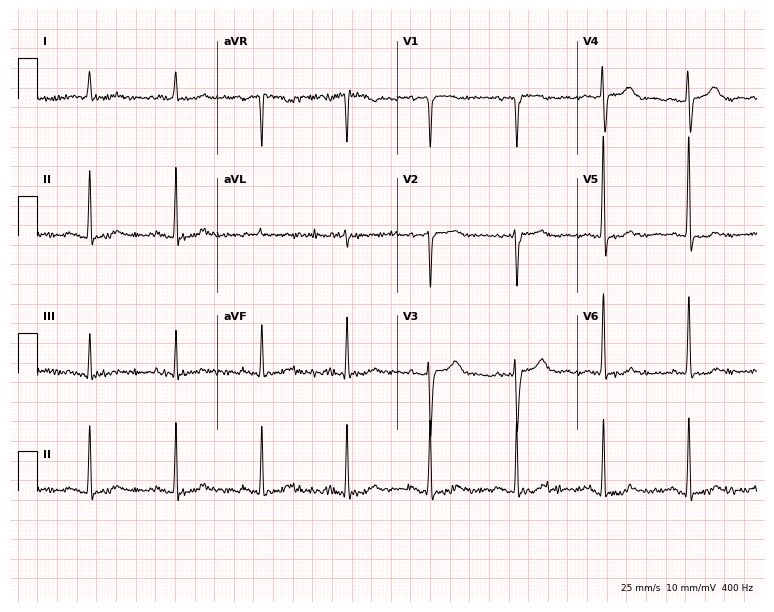
12-lead ECG (7.3-second recording at 400 Hz) from an 83-year-old woman. Screened for six findings — first-degree AV block, right bundle branch block, left bundle branch block, sinus bradycardia, atrial fibrillation, sinus tachycardia — none is recorded. Only these six findings were labelled.